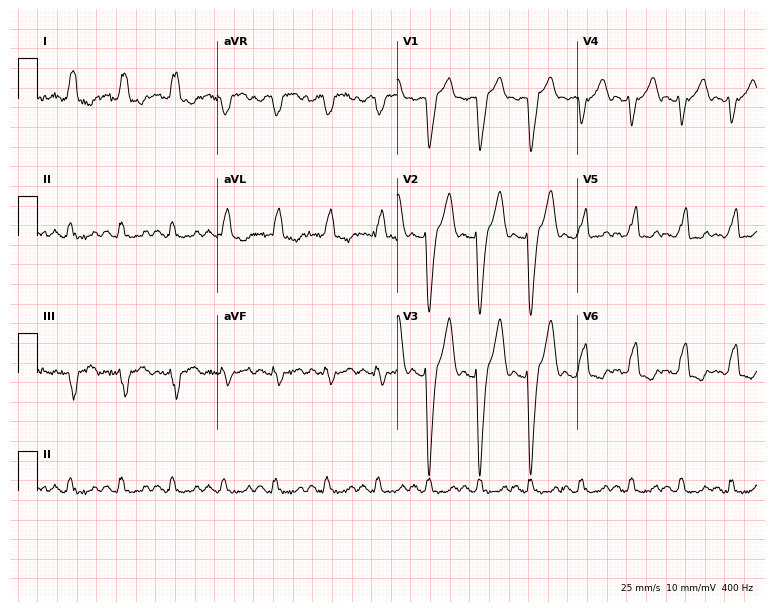
Standard 12-lead ECG recorded from a 56-year-old male patient. The tracing shows left bundle branch block (LBBB), sinus tachycardia (a sinus rate of 100 beats per minute or more).